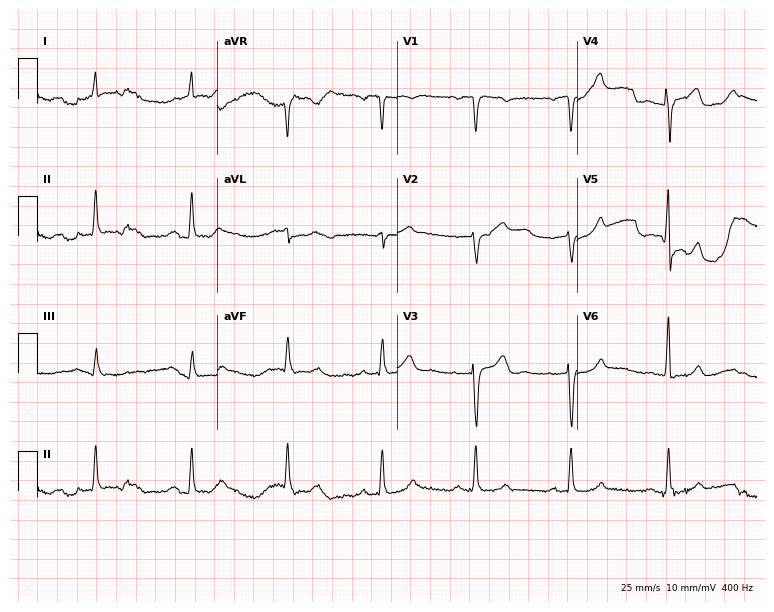
Resting 12-lead electrocardiogram. Patient: a female, 55 years old. Read as a normal ECG.